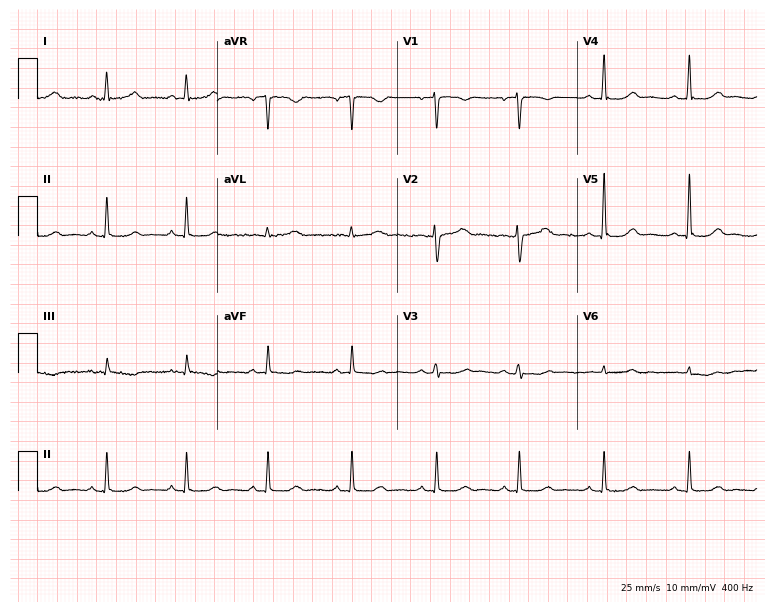
12-lead ECG from a 43-year-old female patient. Labelled as a normal ECG.